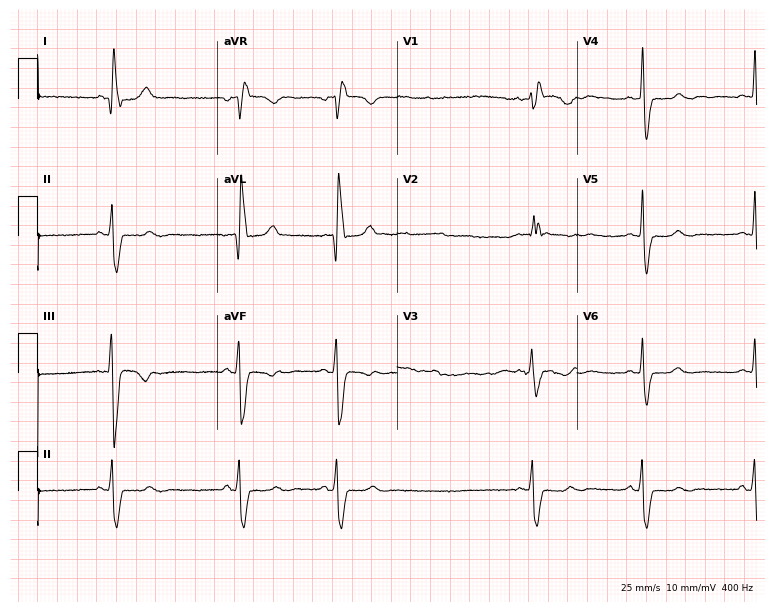
Electrocardiogram (7.3-second recording at 400 Hz), a 50-year-old female patient. Interpretation includes right bundle branch block, sinus bradycardia (a sinus rate of 50 beats per minute or less).